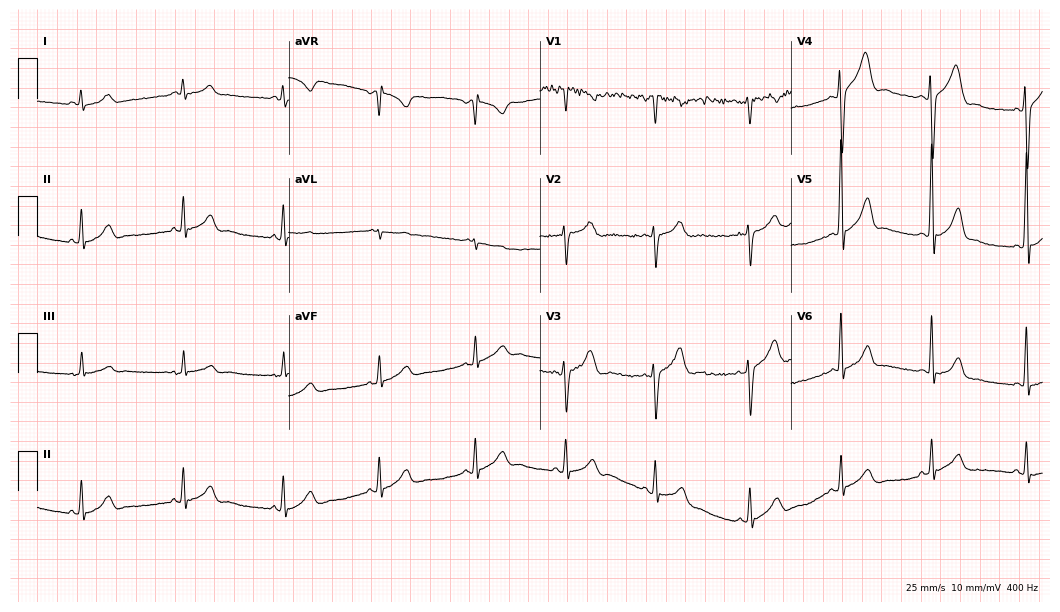
Resting 12-lead electrocardiogram. Patient: a man, 26 years old. Read as a normal ECG.